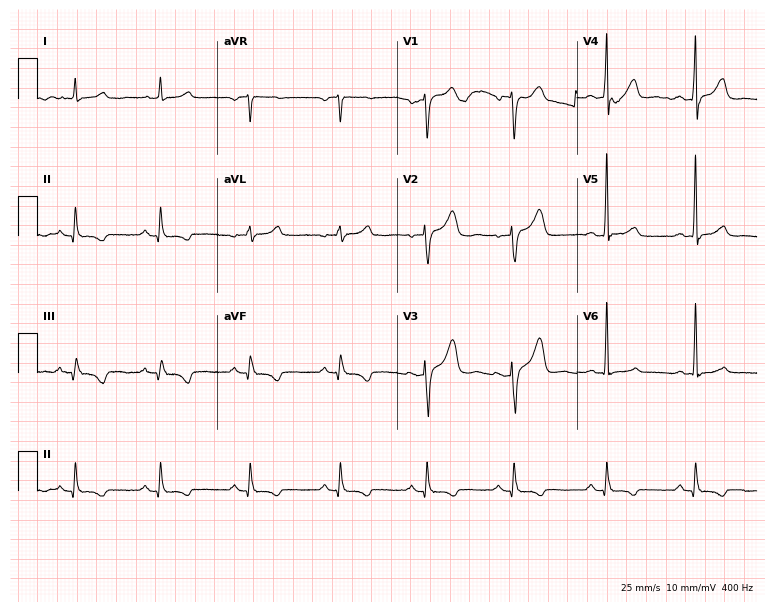
ECG (7.3-second recording at 400 Hz) — a female, 61 years old. Screened for six findings — first-degree AV block, right bundle branch block, left bundle branch block, sinus bradycardia, atrial fibrillation, sinus tachycardia — none is recorded.